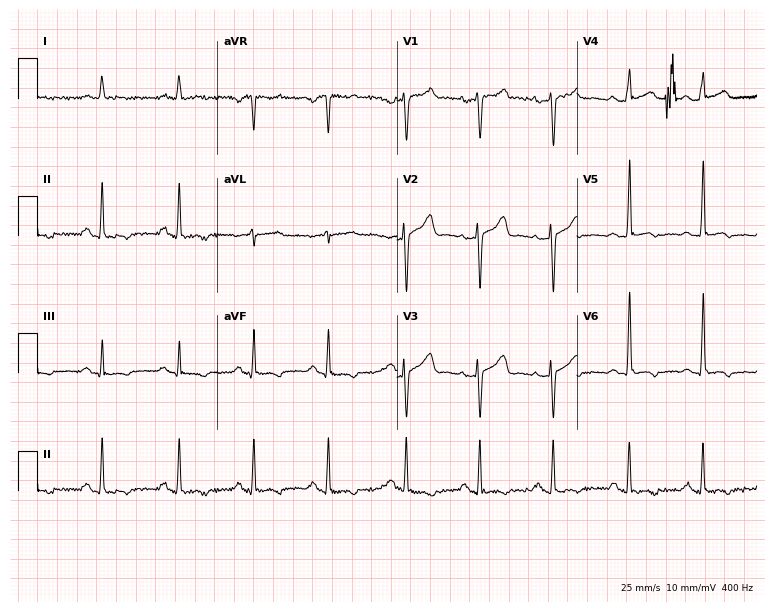
12-lead ECG from a 47-year-old male patient. Recorded interpretation: within normal limits.